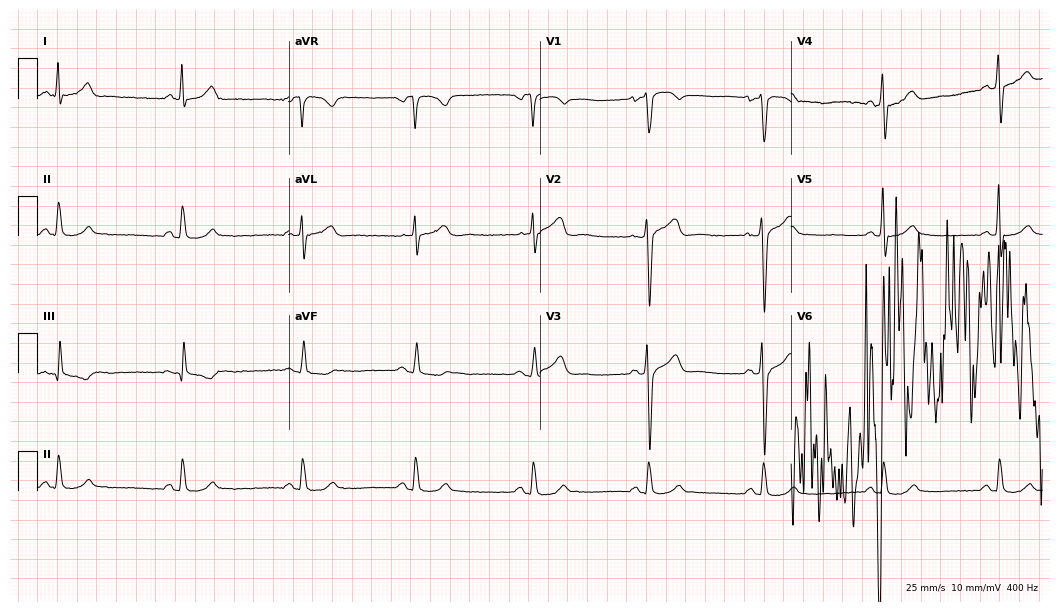
Standard 12-lead ECG recorded from a 36-year-old male patient (10.2-second recording at 400 Hz). None of these six findings is recorded: first-degree AV block, right bundle branch block, left bundle branch block, sinus bradycardia, atrial fibrillation, sinus tachycardia. Only these six findings were labelled.